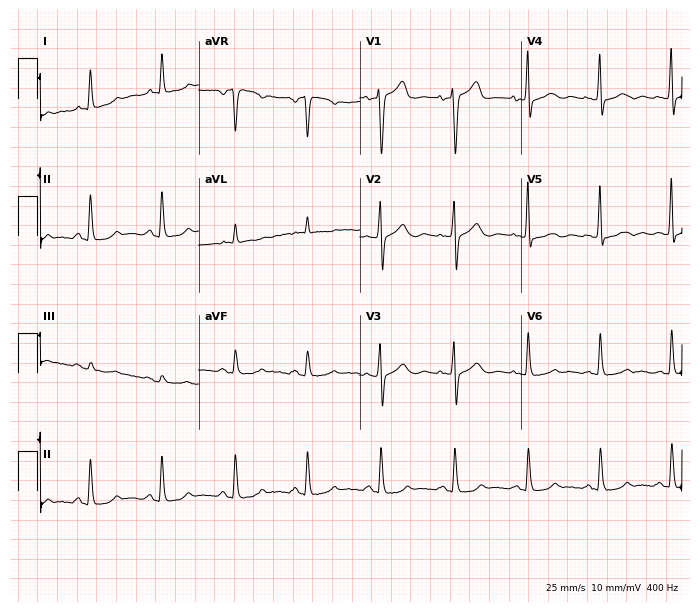
12-lead ECG from a 76-year-old female. No first-degree AV block, right bundle branch block, left bundle branch block, sinus bradycardia, atrial fibrillation or sinus tachycardia recorded for this tracing.